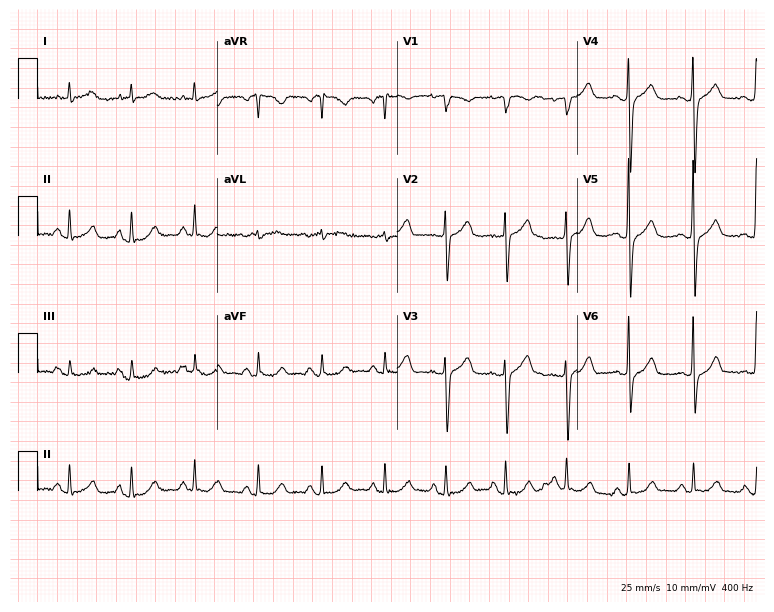
ECG (7.3-second recording at 400 Hz) — a 68-year-old female. Labelled as a normal ECG.